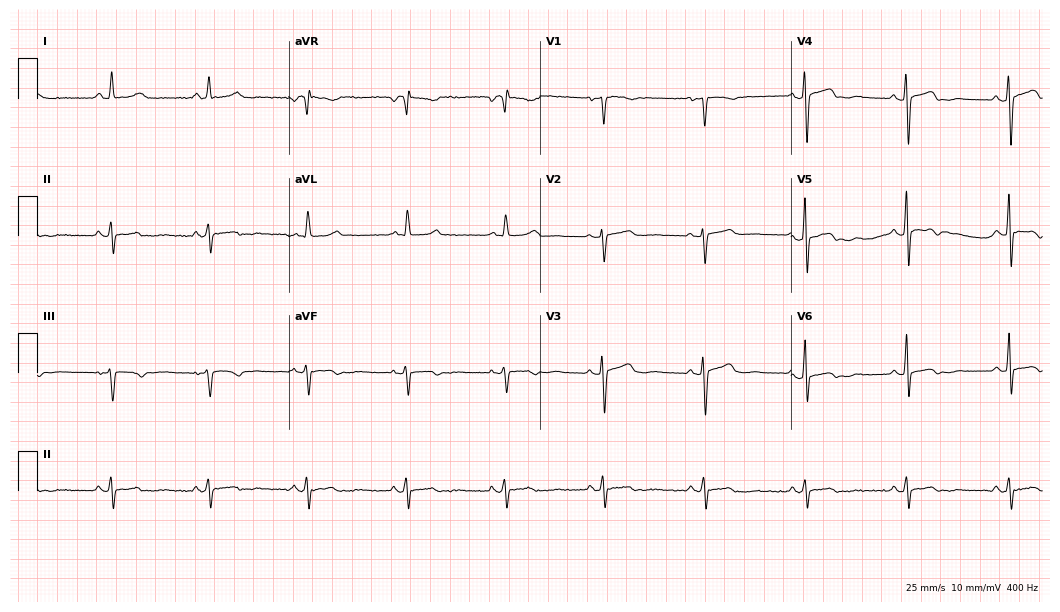
ECG — a woman, 50 years old. Labelled as a normal ECG.